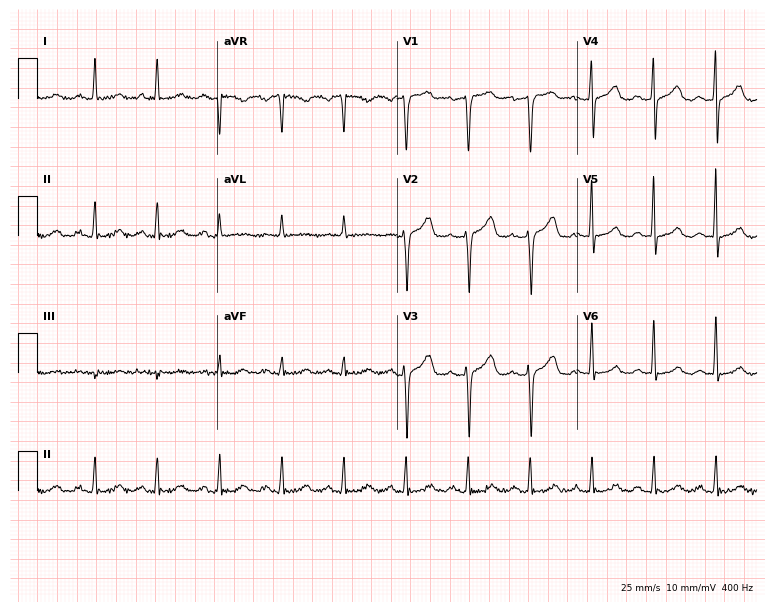
ECG (7.3-second recording at 400 Hz) — a 62-year-old woman. Screened for six findings — first-degree AV block, right bundle branch block (RBBB), left bundle branch block (LBBB), sinus bradycardia, atrial fibrillation (AF), sinus tachycardia — none is recorded. Findings outside these six are not listed.